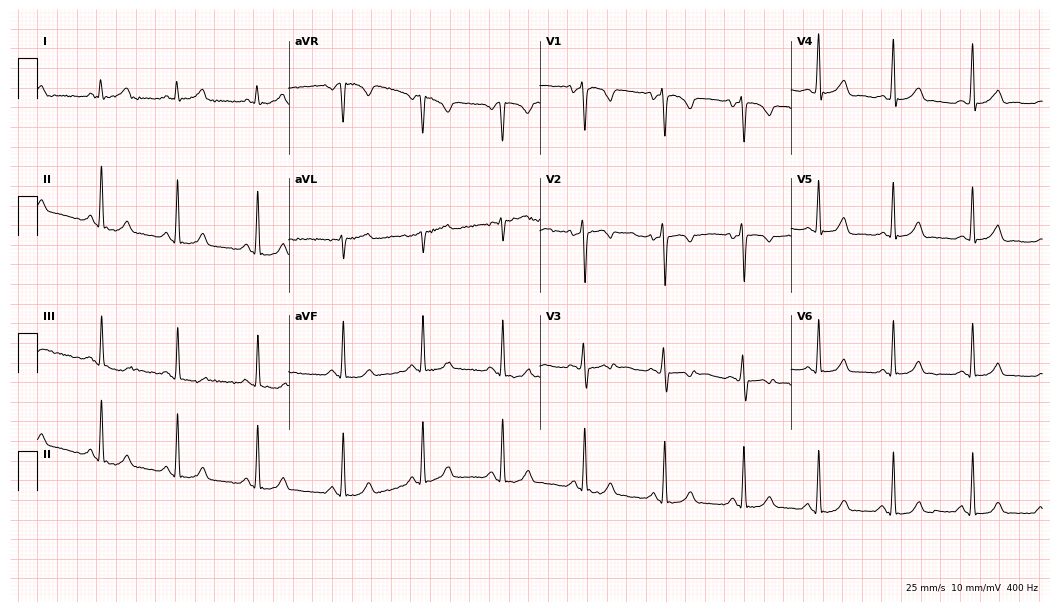
Standard 12-lead ECG recorded from a 28-year-old woman. Read as a normal ECG.